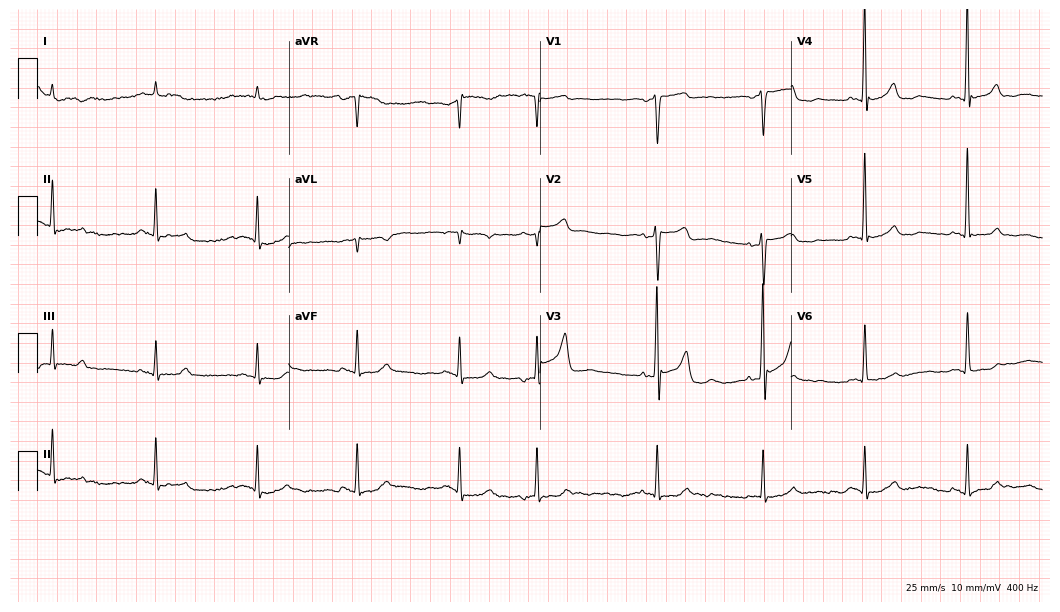
12-lead ECG (10.2-second recording at 400 Hz) from an 83-year-old male. Screened for six findings — first-degree AV block, right bundle branch block (RBBB), left bundle branch block (LBBB), sinus bradycardia, atrial fibrillation (AF), sinus tachycardia — none is recorded. Findings outside these six are not listed.